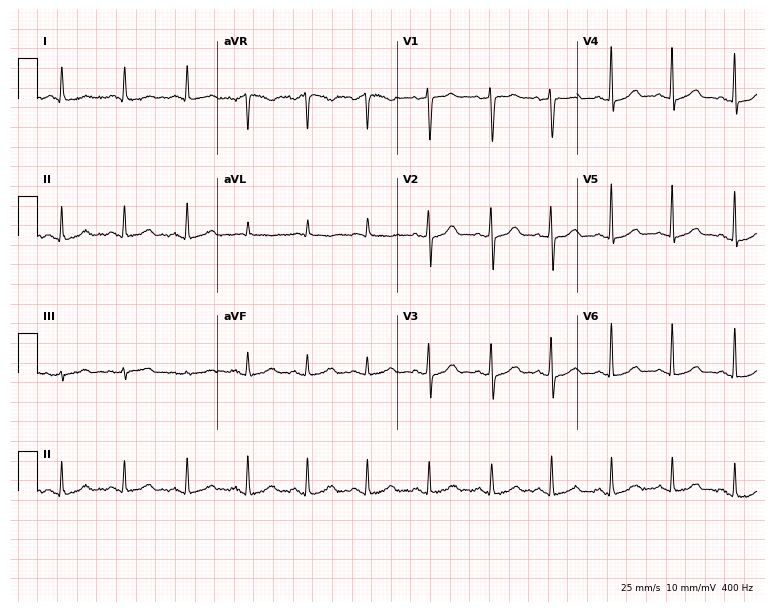
Standard 12-lead ECG recorded from a 53-year-old female. Read as a normal ECG.